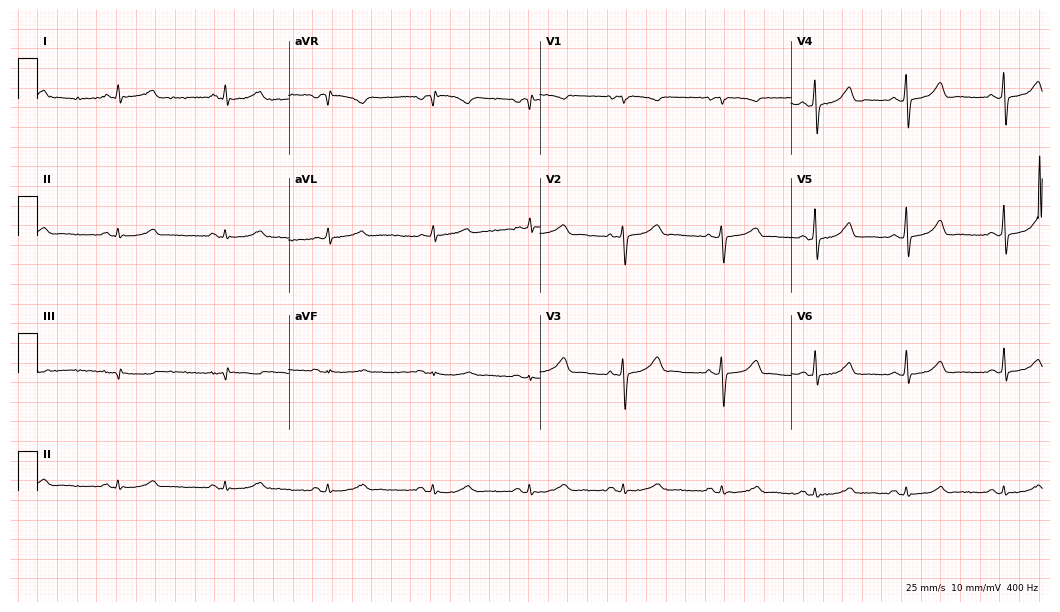
Standard 12-lead ECG recorded from a 40-year-old female patient (10.2-second recording at 400 Hz). Read as a normal ECG.